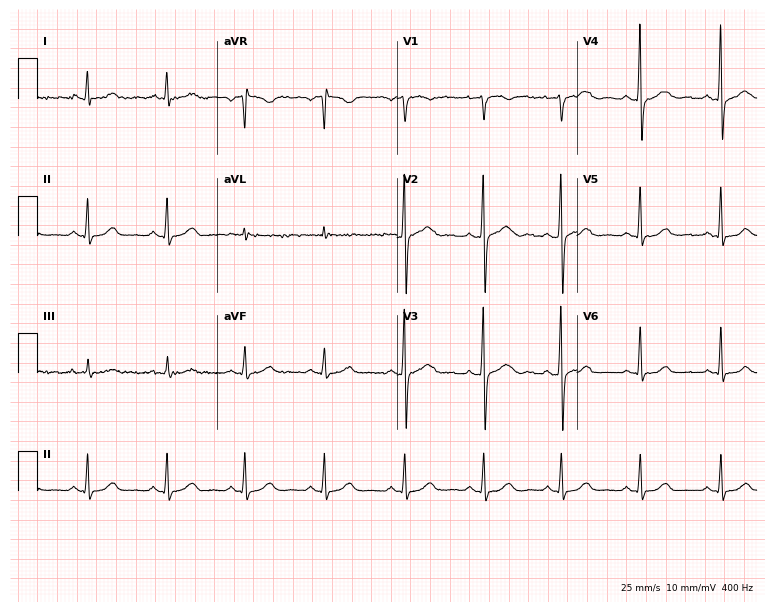
ECG (7.3-second recording at 400 Hz) — a woman, 54 years old. Screened for six findings — first-degree AV block, right bundle branch block (RBBB), left bundle branch block (LBBB), sinus bradycardia, atrial fibrillation (AF), sinus tachycardia — none is recorded.